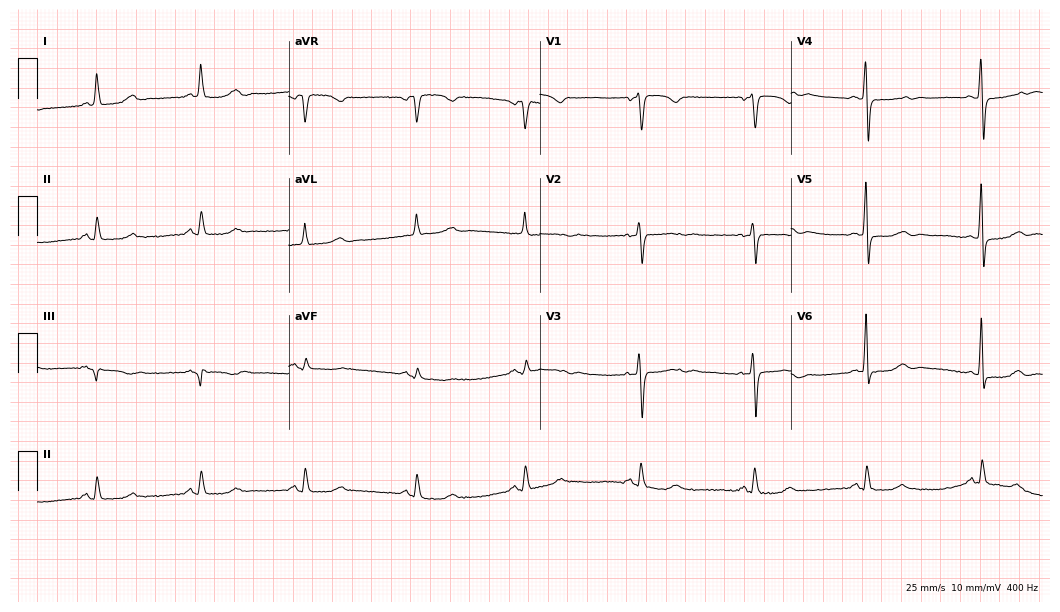
Electrocardiogram (10.2-second recording at 400 Hz), a woman, 69 years old. Of the six screened findings (first-degree AV block, right bundle branch block (RBBB), left bundle branch block (LBBB), sinus bradycardia, atrial fibrillation (AF), sinus tachycardia), none is recorded. Findings outside these six are not listed.